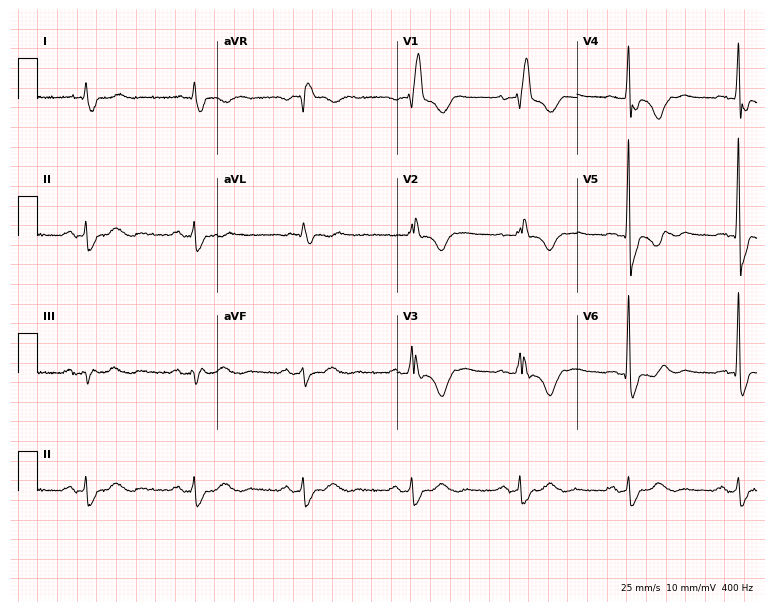
Electrocardiogram, a 67-year-old female. Interpretation includes right bundle branch block.